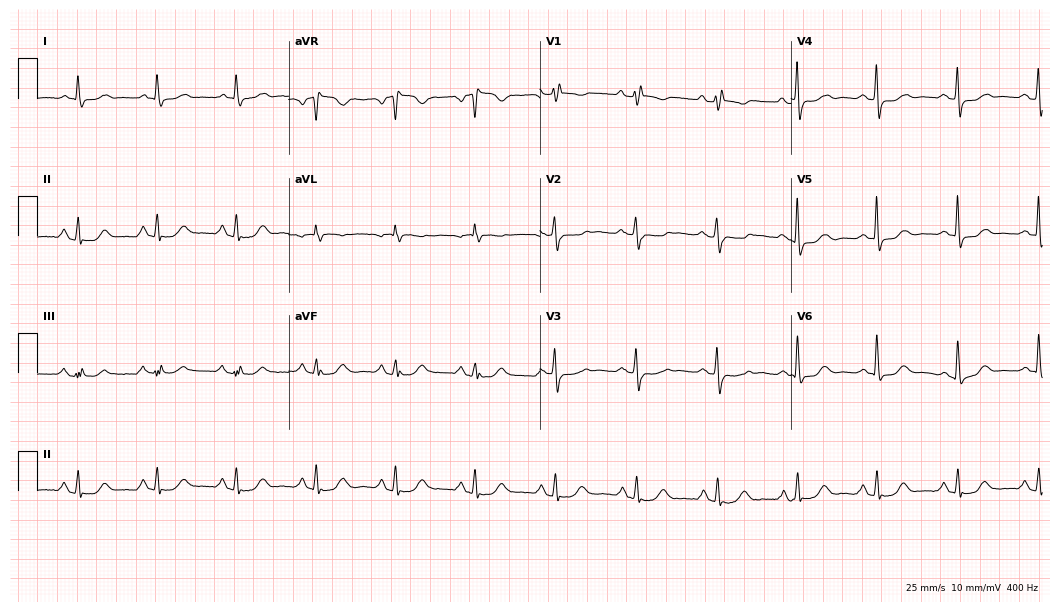
Electrocardiogram (10.2-second recording at 400 Hz), a female patient, 85 years old. Of the six screened findings (first-degree AV block, right bundle branch block, left bundle branch block, sinus bradycardia, atrial fibrillation, sinus tachycardia), none is recorded. Other findings, if any, are not listed.